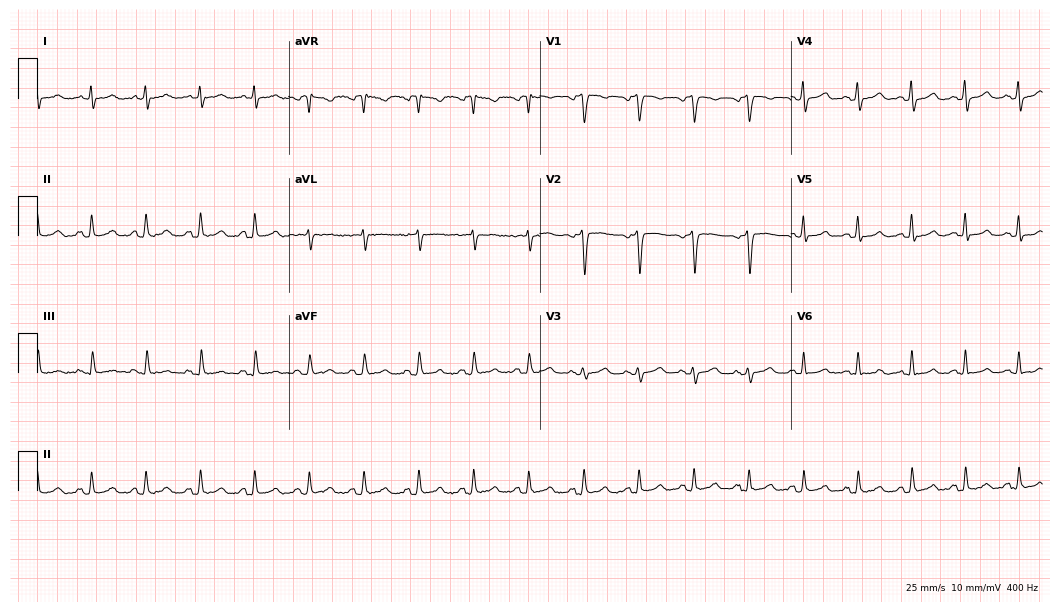
12-lead ECG from a 41-year-old male. Findings include sinus tachycardia (a sinus rate of 100 beats per minute or more).